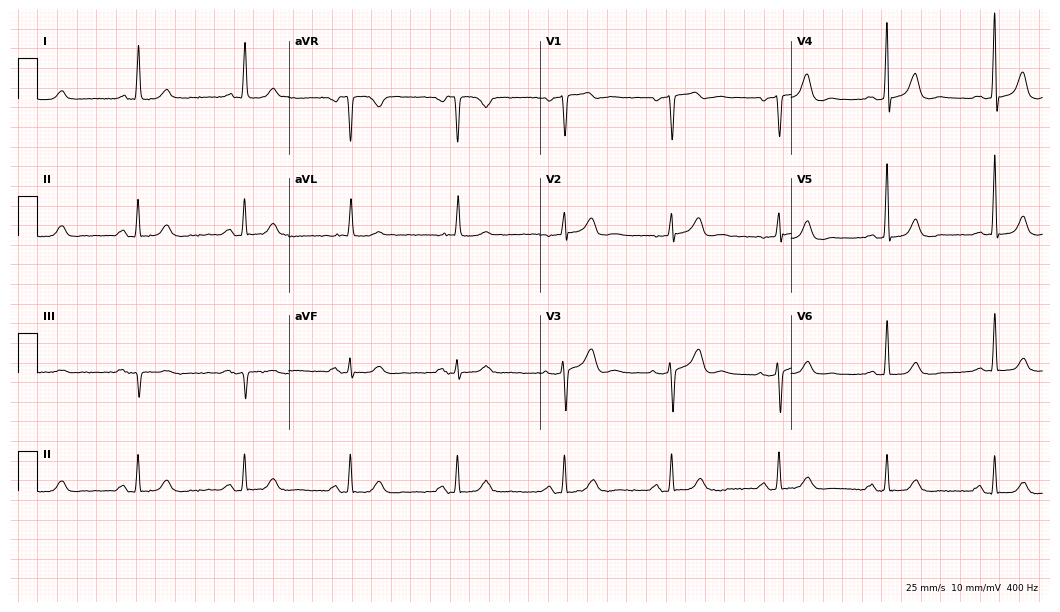
Standard 12-lead ECG recorded from a 71-year-old female (10.2-second recording at 400 Hz). None of these six findings is recorded: first-degree AV block, right bundle branch block (RBBB), left bundle branch block (LBBB), sinus bradycardia, atrial fibrillation (AF), sinus tachycardia. Only these six findings were labelled.